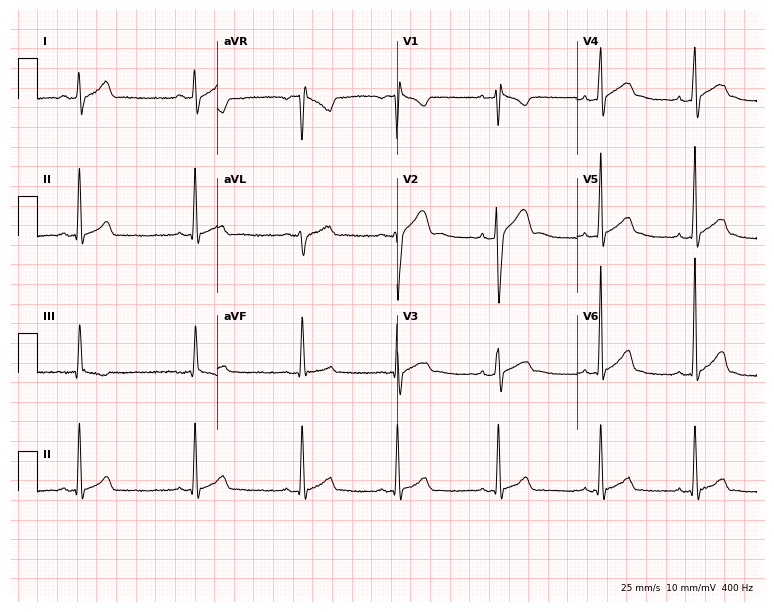
Electrocardiogram (7.3-second recording at 400 Hz), a 24-year-old male patient. Overall reading on record: normal ECG.